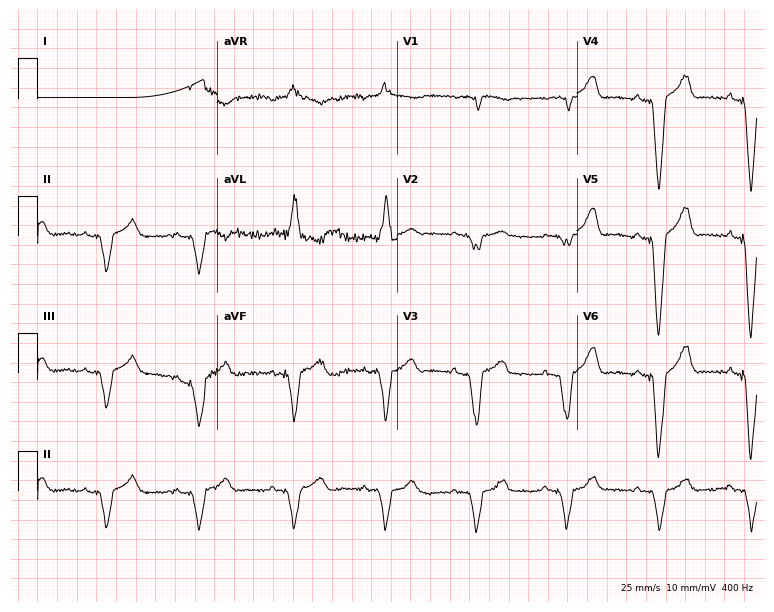
12-lead ECG from a 76-year-old man. No first-degree AV block, right bundle branch block, left bundle branch block, sinus bradycardia, atrial fibrillation or sinus tachycardia recorded for this tracing. Only these six findings were labelled.